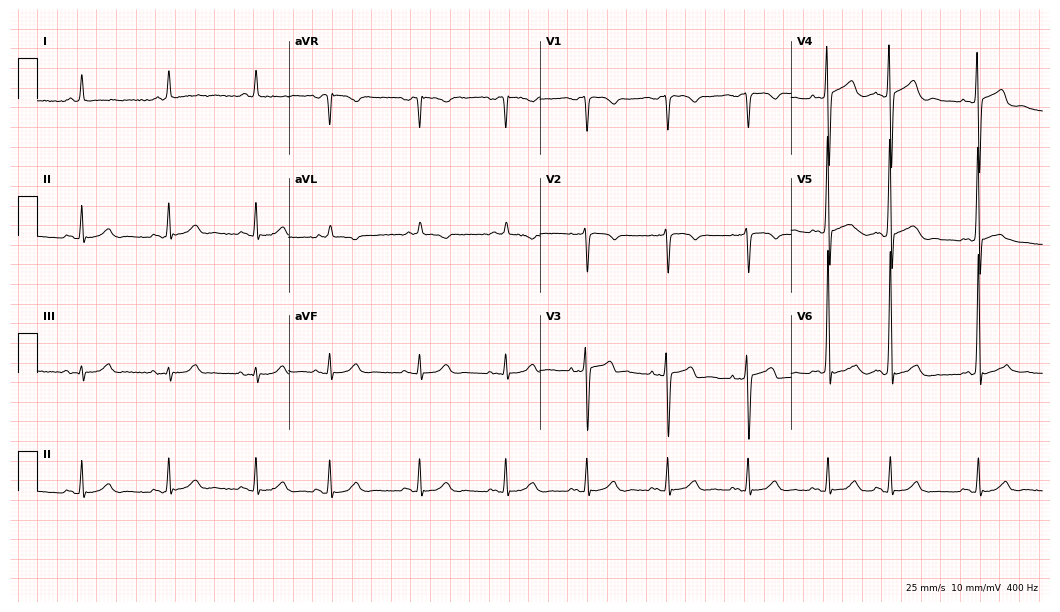
ECG — a 79-year-old man. Labelled as a normal ECG.